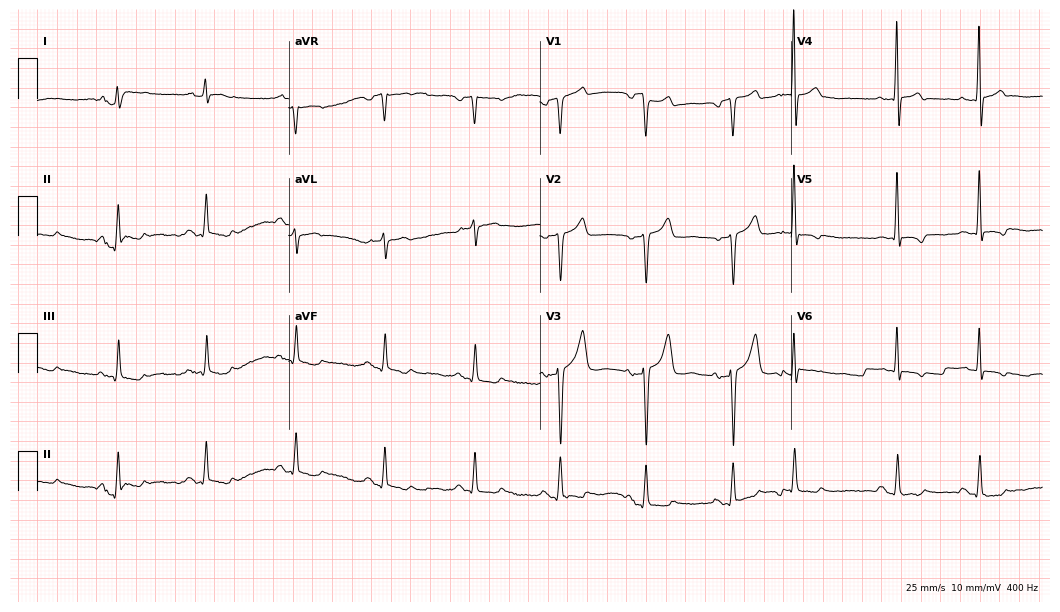
ECG — an 80-year-old woman. Screened for six findings — first-degree AV block, right bundle branch block, left bundle branch block, sinus bradycardia, atrial fibrillation, sinus tachycardia — none is recorded. Other findings, if any, are not listed.